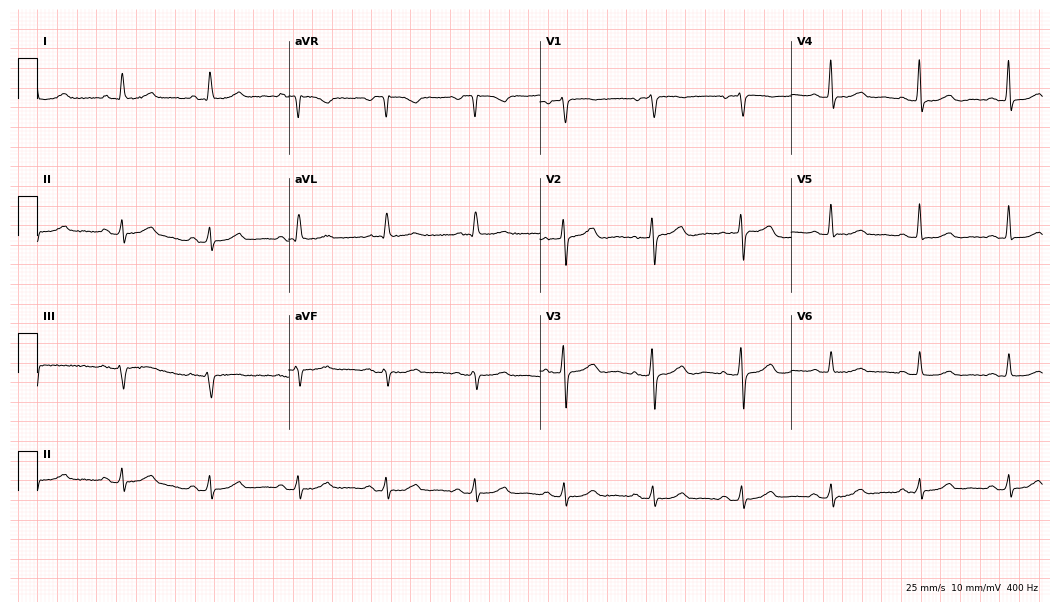
12-lead ECG from a 76-year-old female. Labelled as a normal ECG.